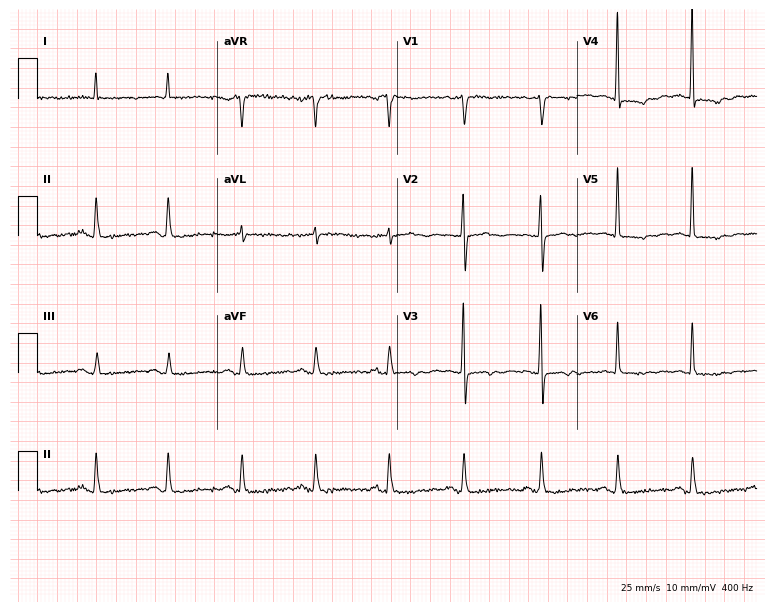
Standard 12-lead ECG recorded from a 63-year-old woman (7.3-second recording at 400 Hz). None of these six findings is recorded: first-degree AV block, right bundle branch block (RBBB), left bundle branch block (LBBB), sinus bradycardia, atrial fibrillation (AF), sinus tachycardia. Only these six findings were labelled.